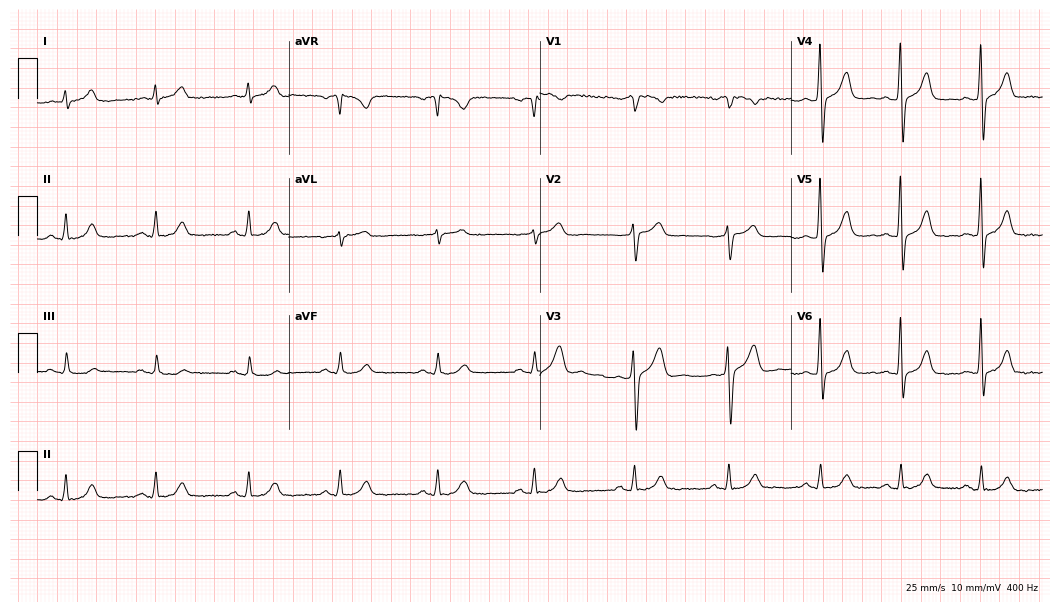
ECG — a man, 58 years old. Labelled as a normal ECG.